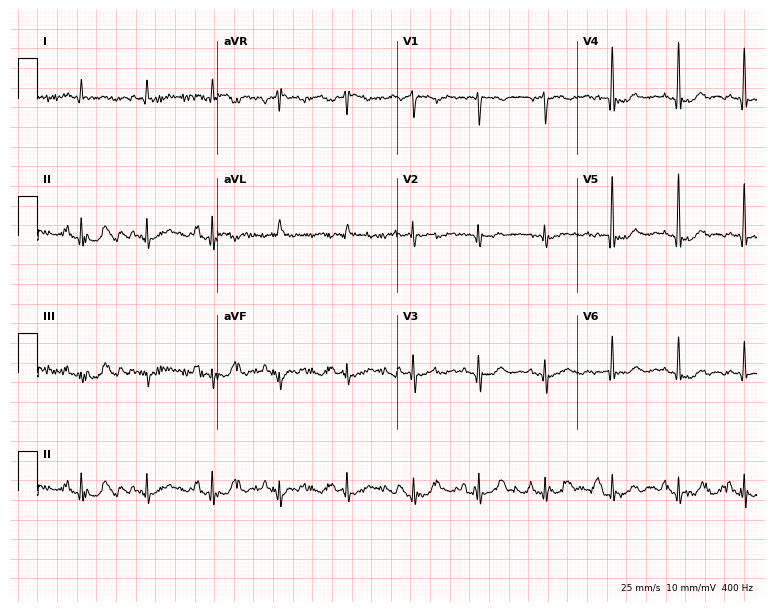
12-lead ECG from a 75-year-old female. Recorded interpretation: within normal limits.